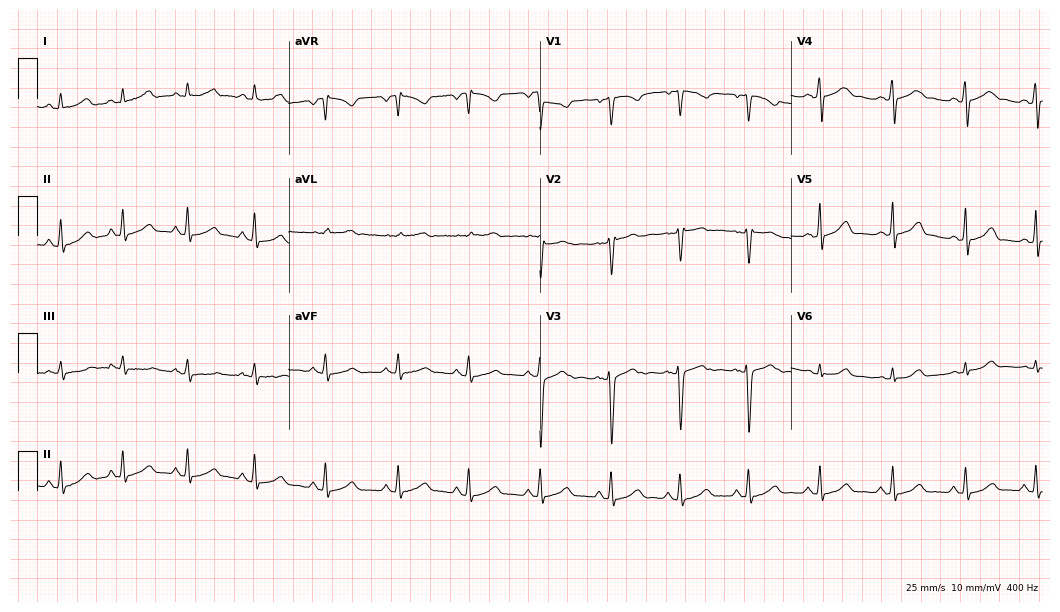
Electrocardiogram, a 19-year-old female patient. Of the six screened findings (first-degree AV block, right bundle branch block, left bundle branch block, sinus bradycardia, atrial fibrillation, sinus tachycardia), none is recorded.